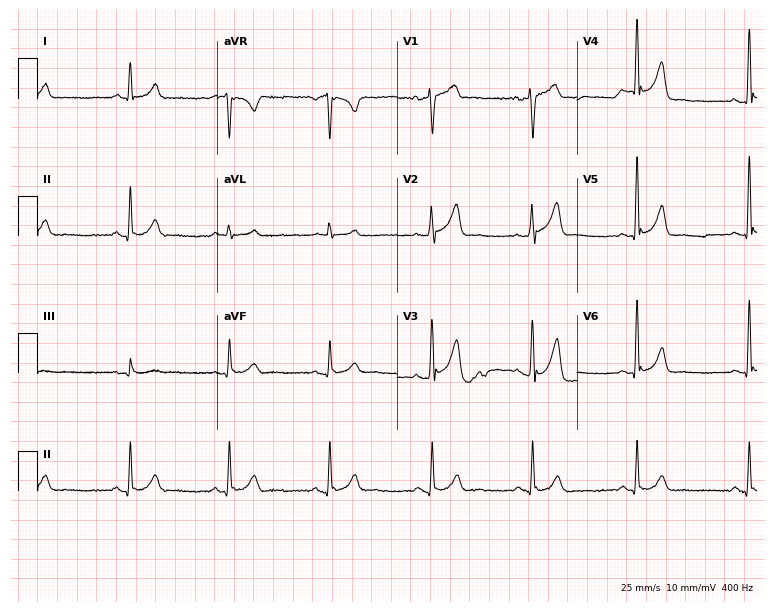
12-lead ECG from a 41-year-old male (7.3-second recording at 400 Hz). No first-degree AV block, right bundle branch block (RBBB), left bundle branch block (LBBB), sinus bradycardia, atrial fibrillation (AF) or sinus tachycardia recorded for this tracing.